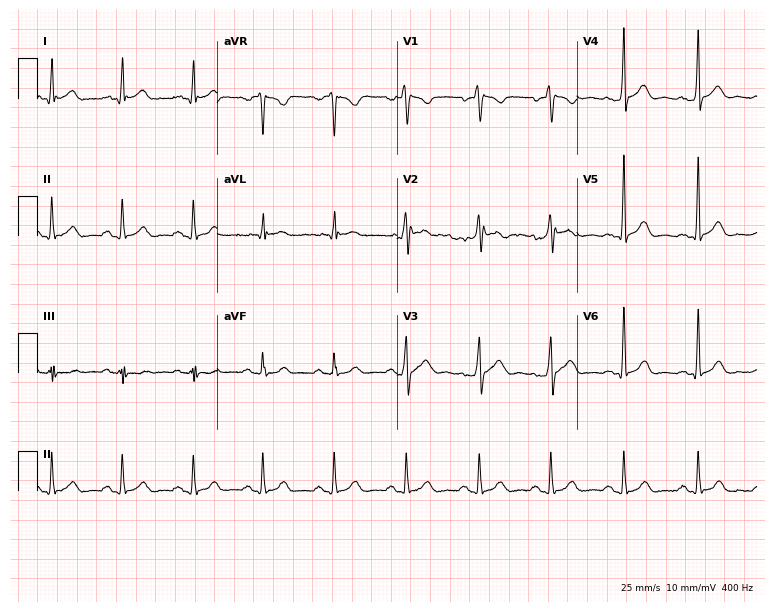
Resting 12-lead electrocardiogram. Patient: a 38-year-old male. None of these six findings is recorded: first-degree AV block, right bundle branch block, left bundle branch block, sinus bradycardia, atrial fibrillation, sinus tachycardia.